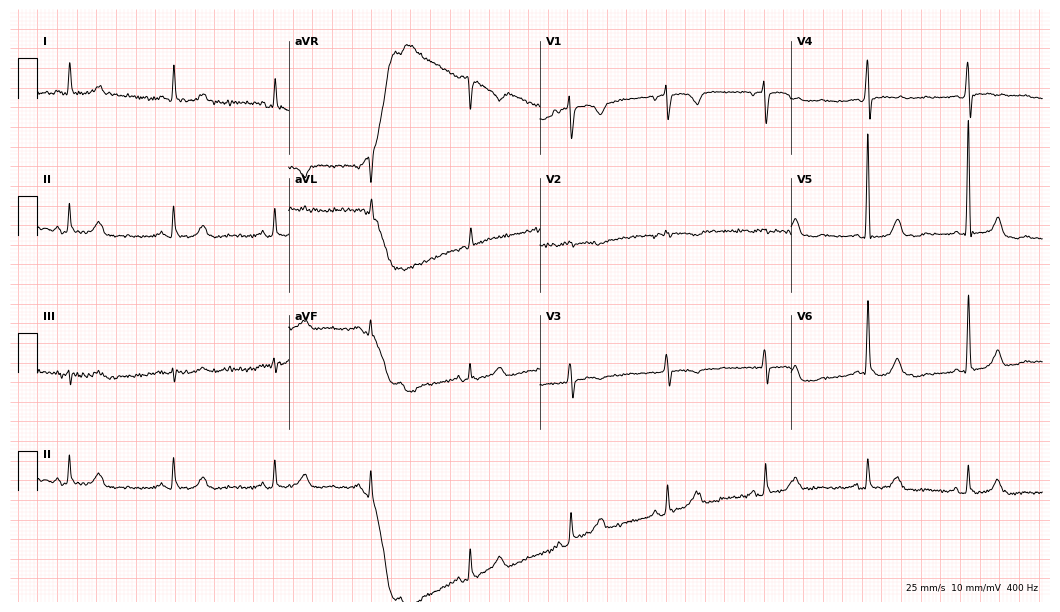
Electrocardiogram, a female, 69 years old. Of the six screened findings (first-degree AV block, right bundle branch block, left bundle branch block, sinus bradycardia, atrial fibrillation, sinus tachycardia), none is recorded.